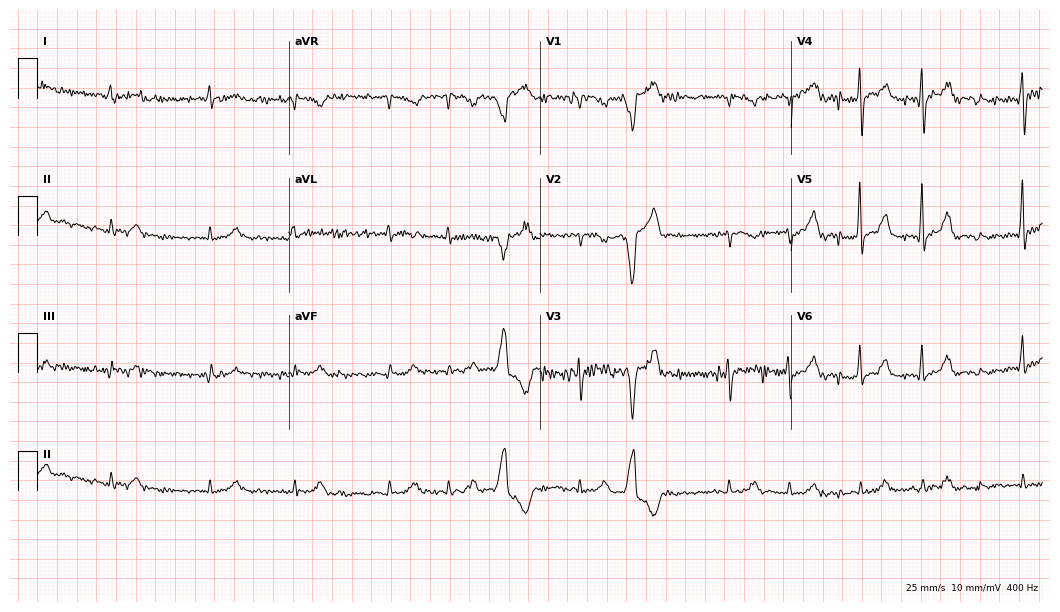
ECG — a man, 83 years old. Screened for six findings — first-degree AV block, right bundle branch block, left bundle branch block, sinus bradycardia, atrial fibrillation, sinus tachycardia — none is recorded. Only these six findings were labelled.